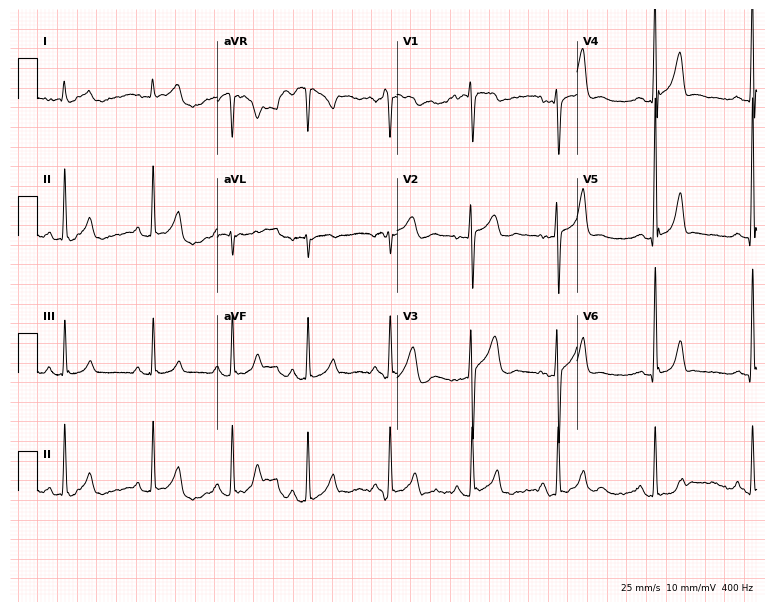
12-lead ECG (7.3-second recording at 400 Hz) from a 27-year-old male. Screened for six findings — first-degree AV block, right bundle branch block, left bundle branch block, sinus bradycardia, atrial fibrillation, sinus tachycardia — none is recorded. Findings outside these six are not listed.